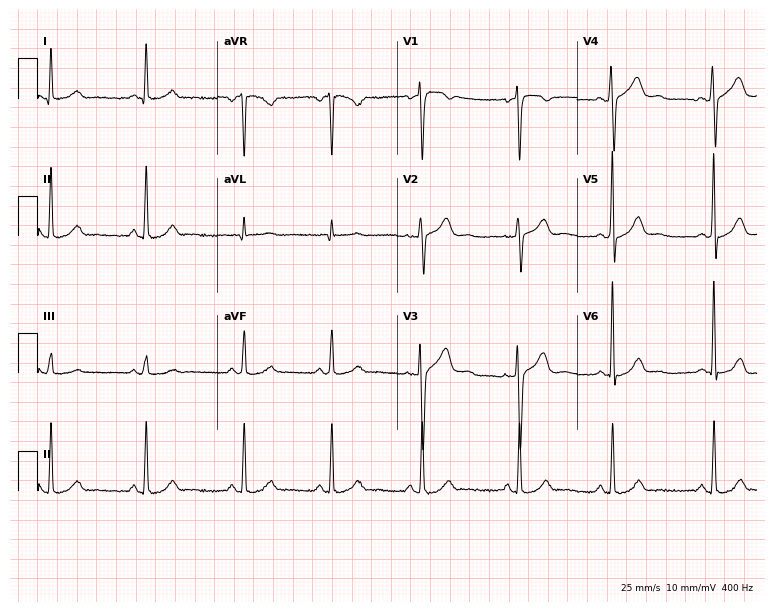
12-lead ECG from a woman, 41 years old. No first-degree AV block, right bundle branch block (RBBB), left bundle branch block (LBBB), sinus bradycardia, atrial fibrillation (AF) or sinus tachycardia recorded for this tracing.